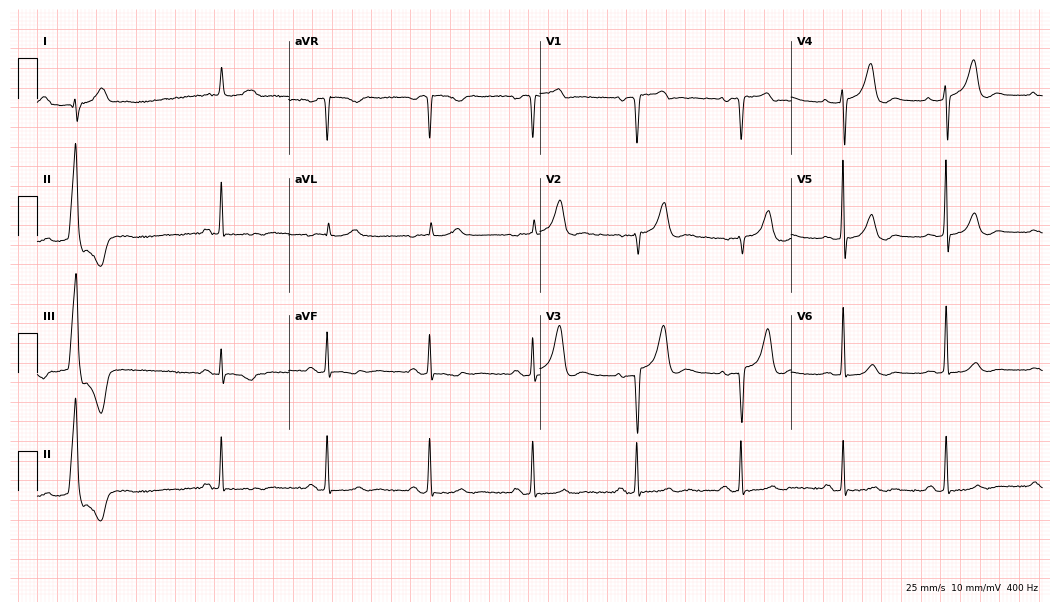
Resting 12-lead electrocardiogram. Patient: a female, 84 years old. None of these six findings is recorded: first-degree AV block, right bundle branch block, left bundle branch block, sinus bradycardia, atrial fibrillation, sinus tachycardia. Only these six findings were labelled.